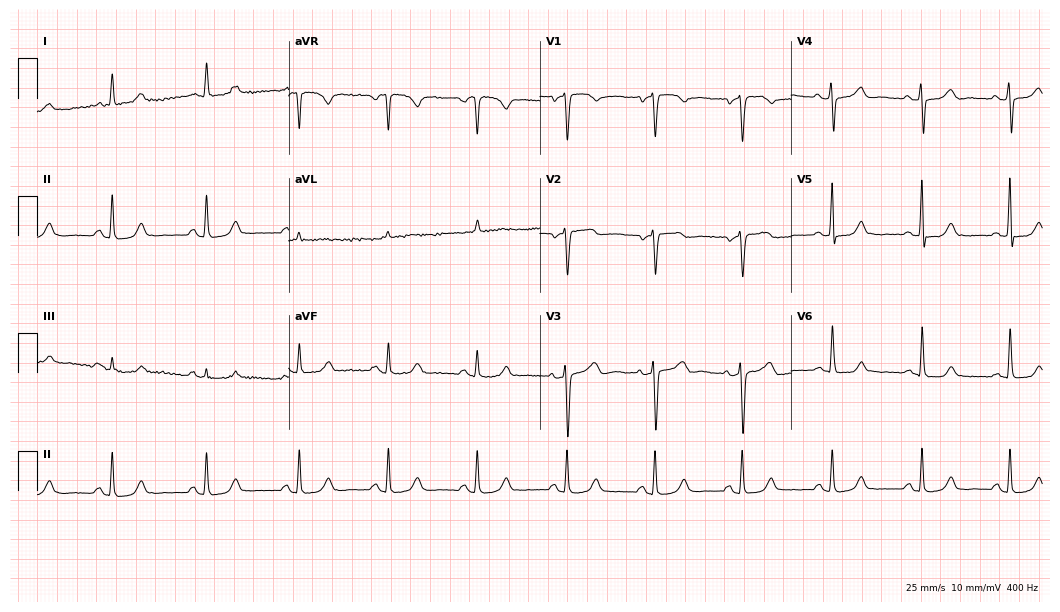
ECG — a 57-year-old woman. Labelled as a normal ECG.